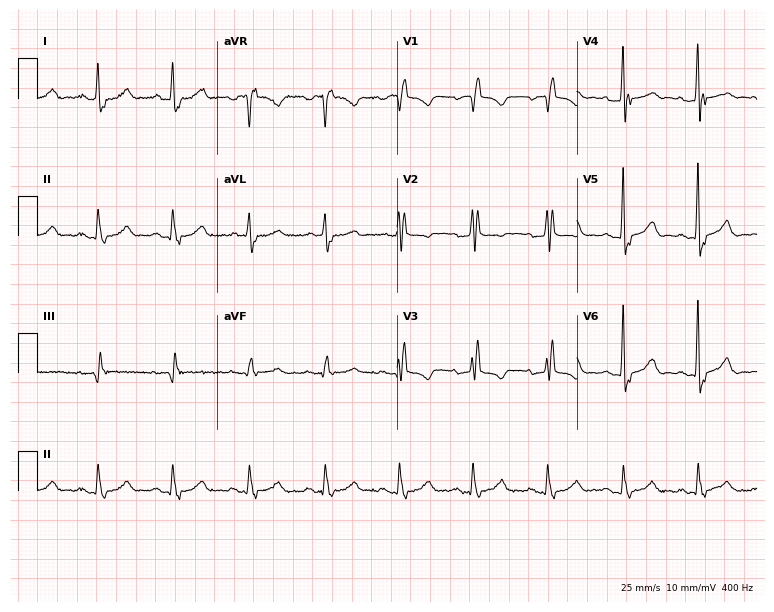
12-lead ECG (7.3-second recording at 400 Hz) from a female, 75 years old. Findings include right bundle branch block.